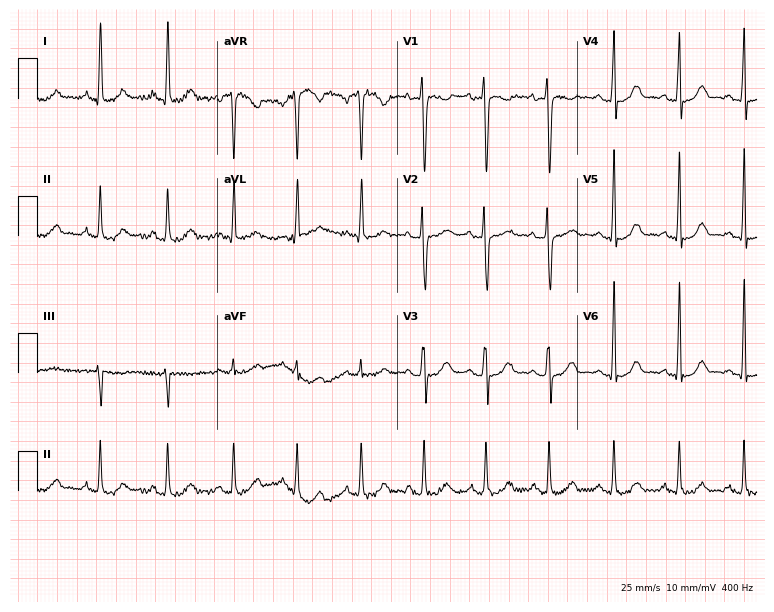
12-lead ECG (7.3-second recording at 400 Hz) from a 34-year-old female patient. Screened for six findings — first-degree AV block, right bundle branch block, left bundle branch block, sinus bradycardia, atrial fibrillation, sinus tachycardia — none is recorded. Only these six findings were labelled.